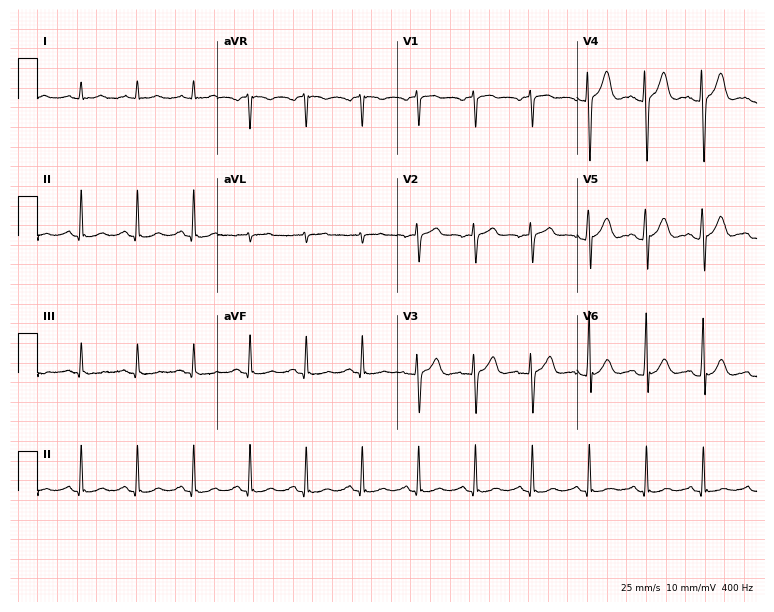
12-lead ECG (7.3-second recording at 400 Hz) from a 43-year-old male patient. Findings include sinus tachycardia (a sinus rate of 100 beats per minute or more).